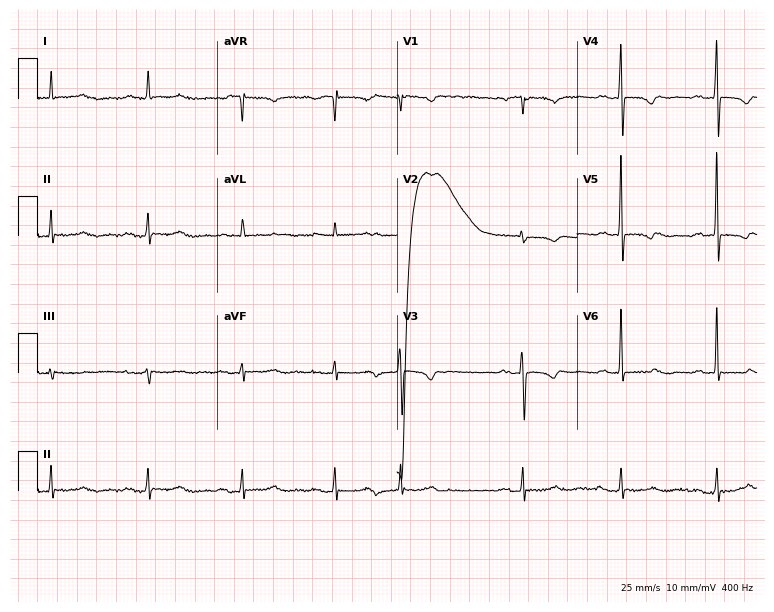
ECG — a female patient, 80 years old. Findings include atrial fibrillation (AF).